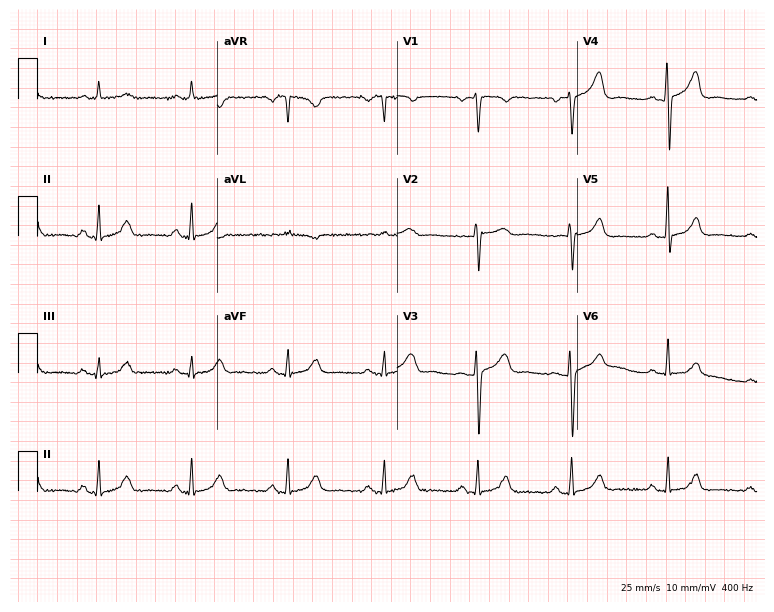
12-lead ECG from a 55-year-old woman. Recorded interpretation: within normal limits.